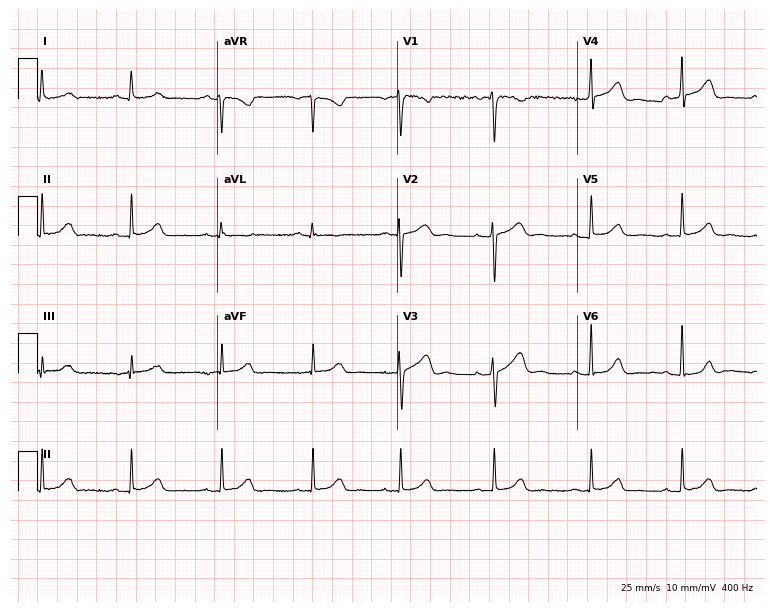
Standard 12-lead ECG recorded from a woman, 36 years old (7.3-second recording at 400 Hz). None of these six findings is recorded: first-degree AV block, right bundle branch block, left bundle branch block, sinus bradycardia, atrial fibrillation, sinus tachycardia. Other findings, if any, are not listed.